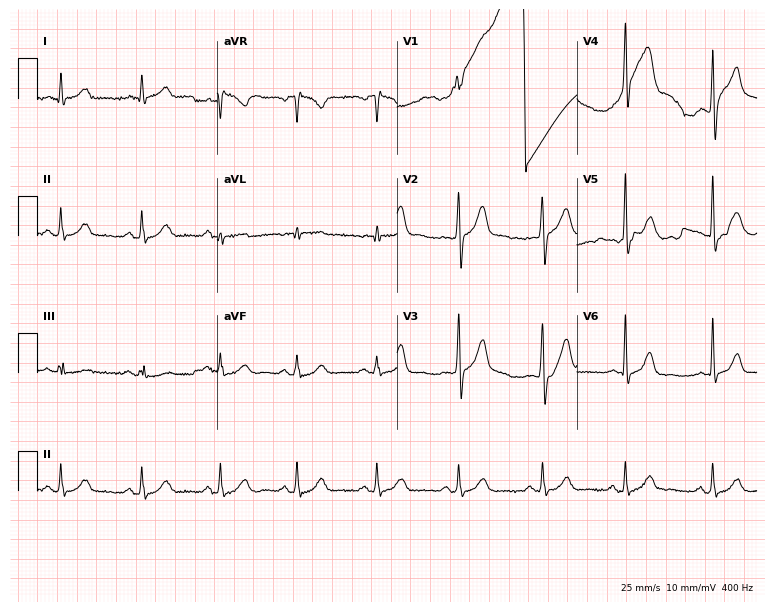
ECG — a 49-year-old male patient. Screened for six findings — first-degree AV block, right bundle branch block (RBBB), left bundle branch block (LBBB), sinus bradycardia, atrial fibrillation (AF), sinus tachycardia — none is recorded. Findings outside these six are not listed.